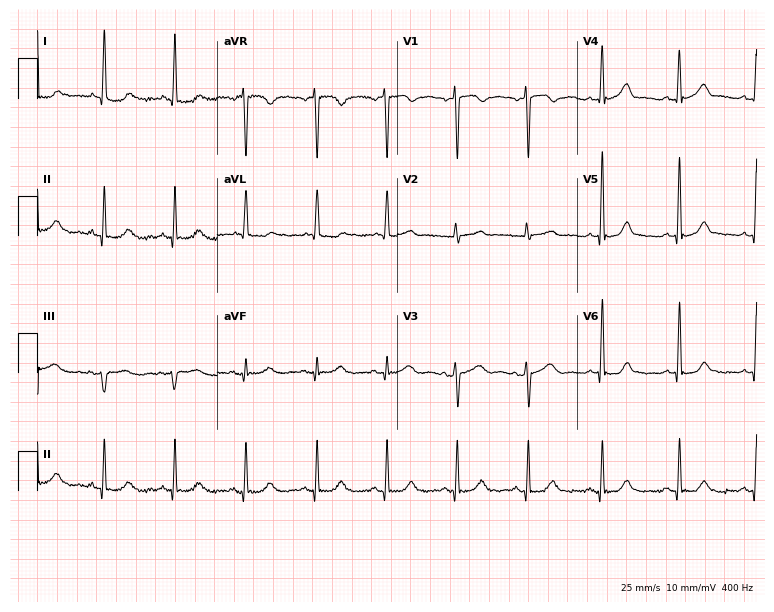
ECG — a 51-year-old woman. Labelled as a normal ECG.